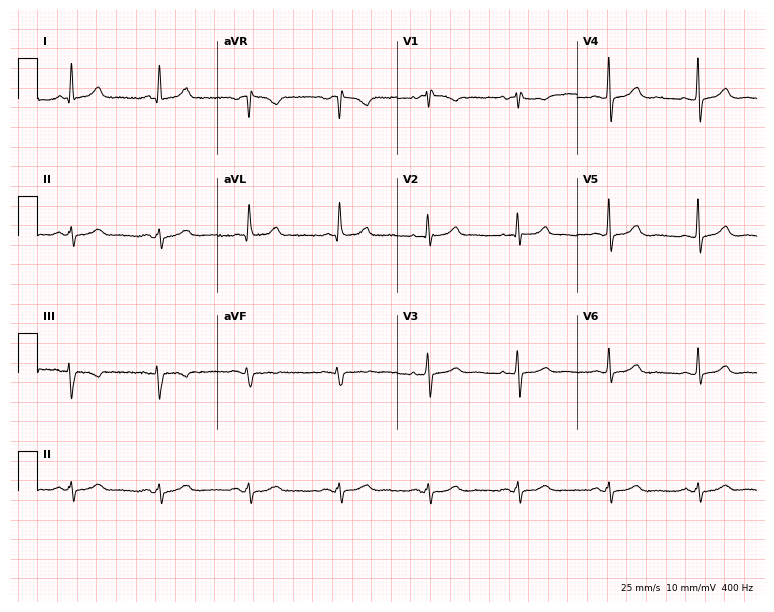
12-lead ECG from a 79-year-old female. Screened for six findings — first-degree AV block, right bundle branch block, left bundle branch block, sinus bradycardia, atrial fibrillation, sinus tachycardia — none is recorded. Only these six findings were labelled.